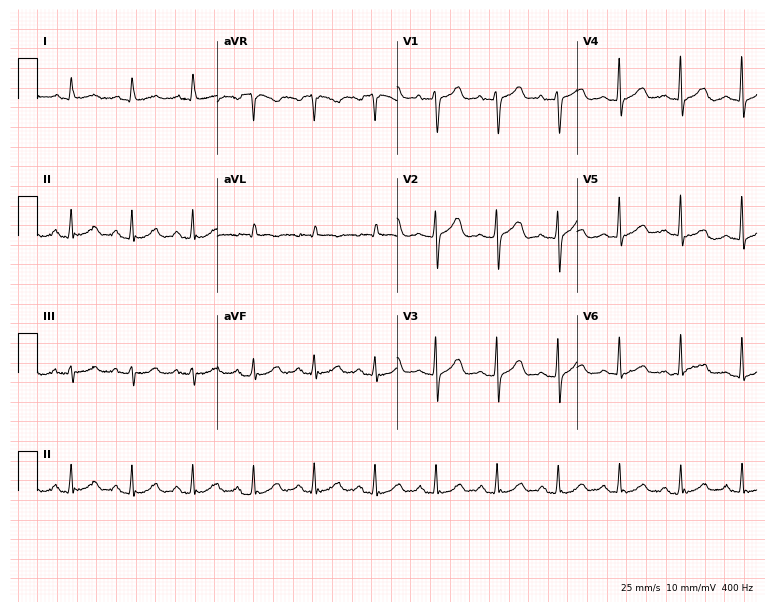
Standard 12-lead ECG recorded from an 82-year-old male patient. Read as a normal ECG.